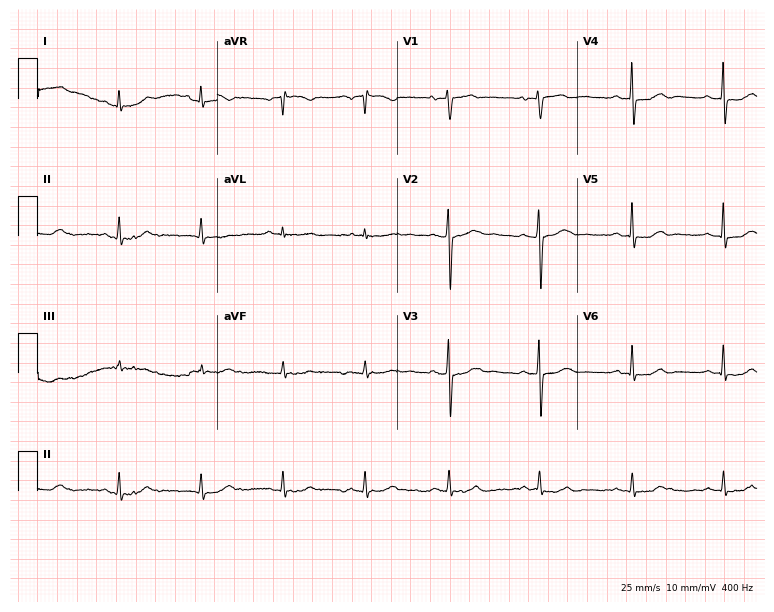
12-lead ECG from a 66-year-old woman. Labelled as a normal ECG.